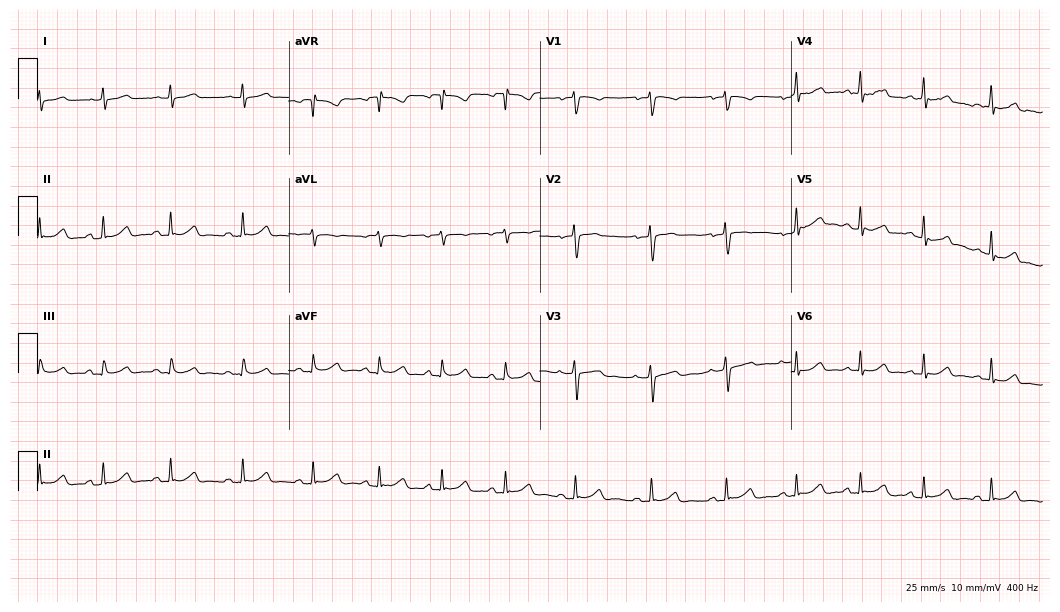
12-lead ECG from a woman, 30 years old. Recorded interpretation: within normal limits.